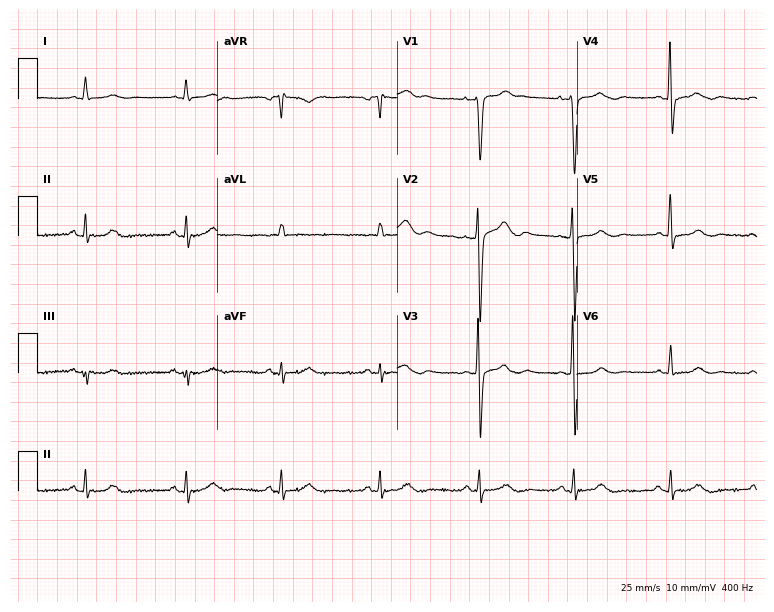
Standard 12-lead ECG recorded from an 80-year-old male patient. Read as a normal ECG.